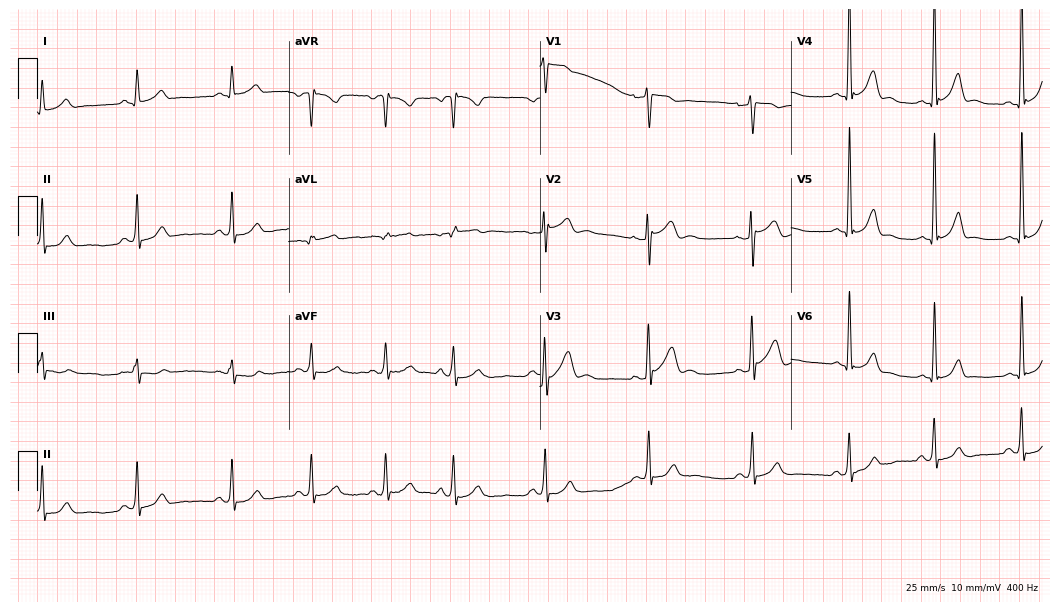
Resting 12-lead electrocardiogram (10.2-second recording at 400 Hz). Patient: a man, 31 years old. None of these six findings is recorded: first-degree AV block, right bundle branch block (RBBB), left bundle branch block (LBBB), sinus bradycardia, atrial fibrillation (AF), sinus tachycardia. Only these six findings were labelled.